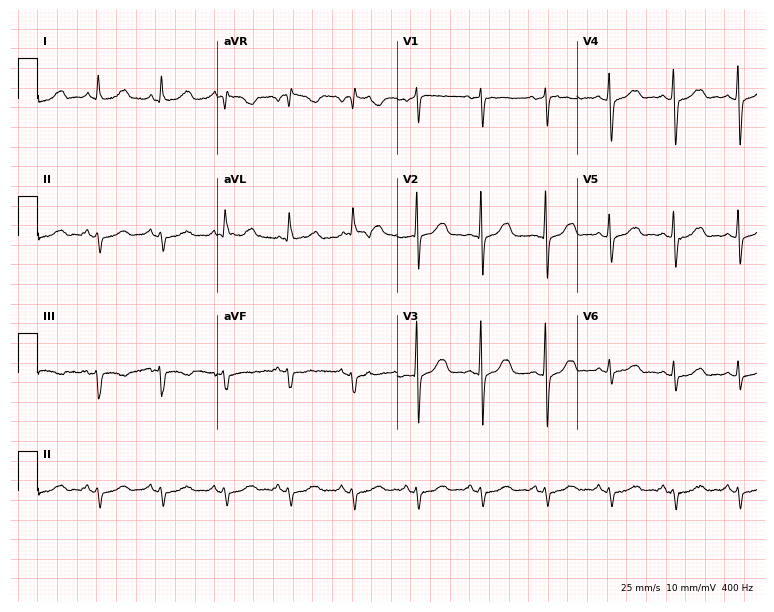
Standard 12-lead ECG recorded from a 73-year-old female (7.3-second recording at 400 Hz). None of these six findings is recorded: first-degree AV block, right bundle branch block, left bundle branch block, sinus bradycardia, atrial fibrillation, sinus tachycardia.